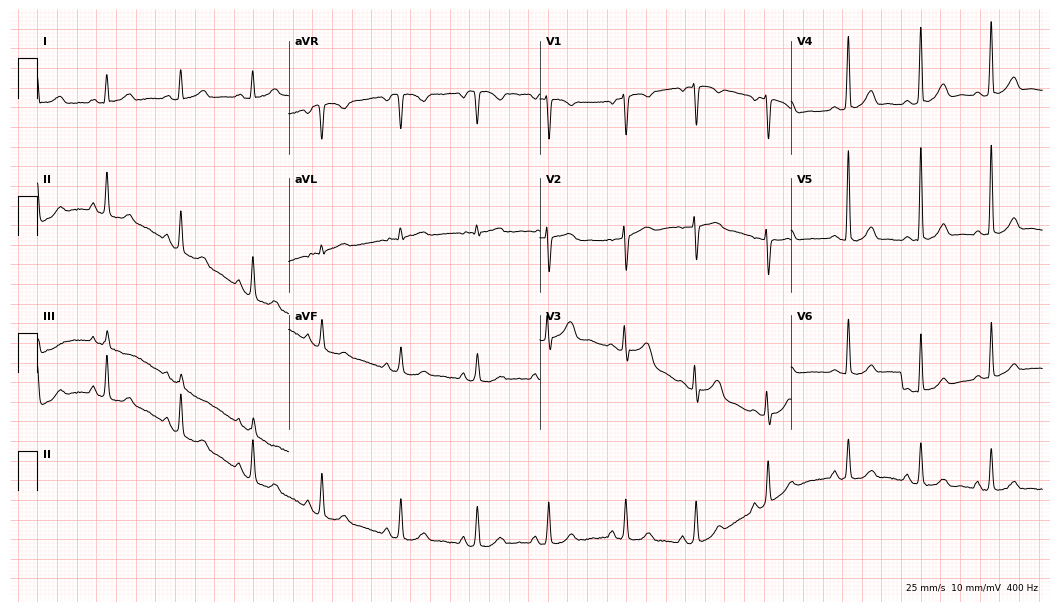
12-lead ECG (10.2-second recording at 400 Hz) from a woman, 22 years old. Labelled as a normal ECG.